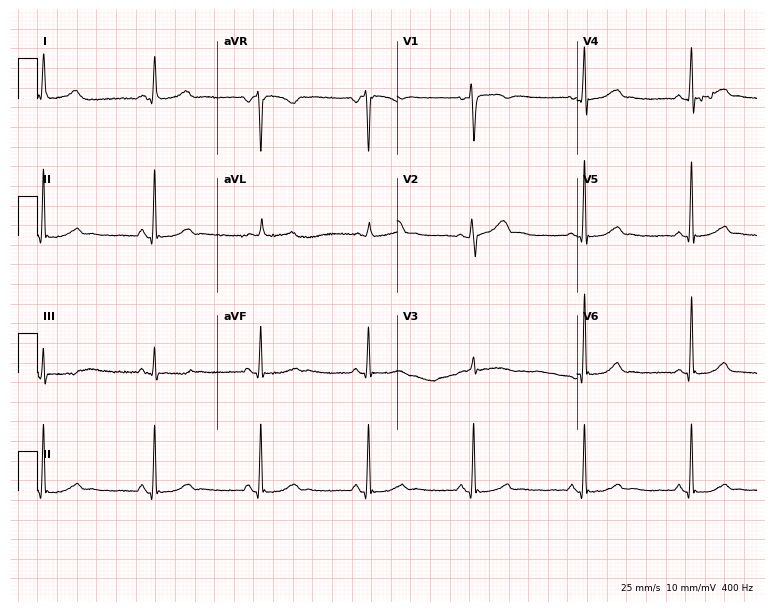
12-lead ECG from a woman, 38 years old (7.3-second recording at 400 Hz). No first-degree AV block, right bundle branch block (RBBB), left bundle branch block (LBBB), sinus bradycardia, atrial fibrillation (AF) or sinus tachycardia recorded for this tracing. Only these six findings were labelled.